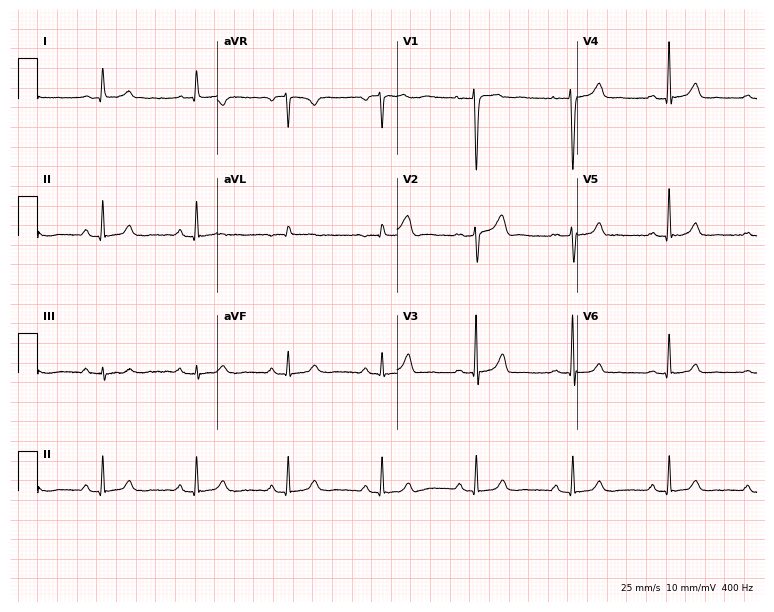
12-lead ECG from a woman, 47 years old. Recorded interpretation: within normal limits.